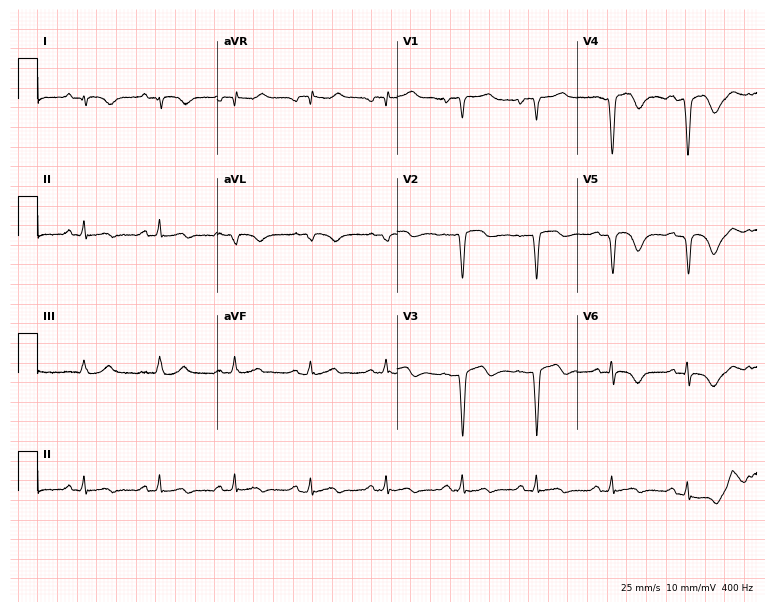
Standard 12-lead ECG recorded from a 60-year-old man (7.3-second recording at 400 Hz). None of these six findings is recorded: first-degree AV block, right bundle branch block (RBBB), left bundle branch block (LBBB), sinus bradycardia, atrial fibrillation (AF), sinus tachycardia. Findings outside these six are not listed.